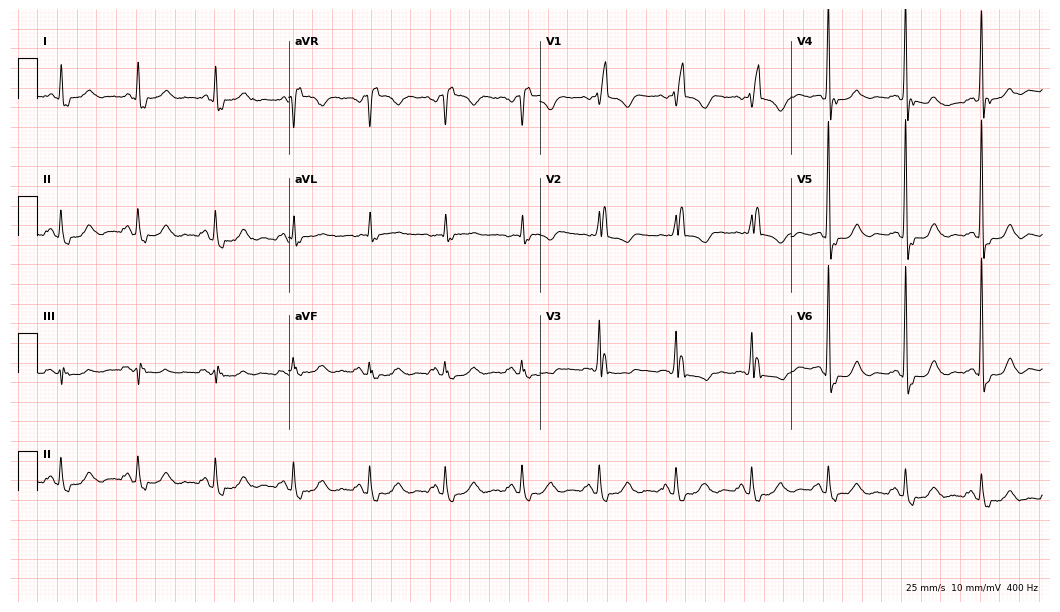
Electrocardiogram, a woman, 81 years old. Interpretation includes right bundle branch block.